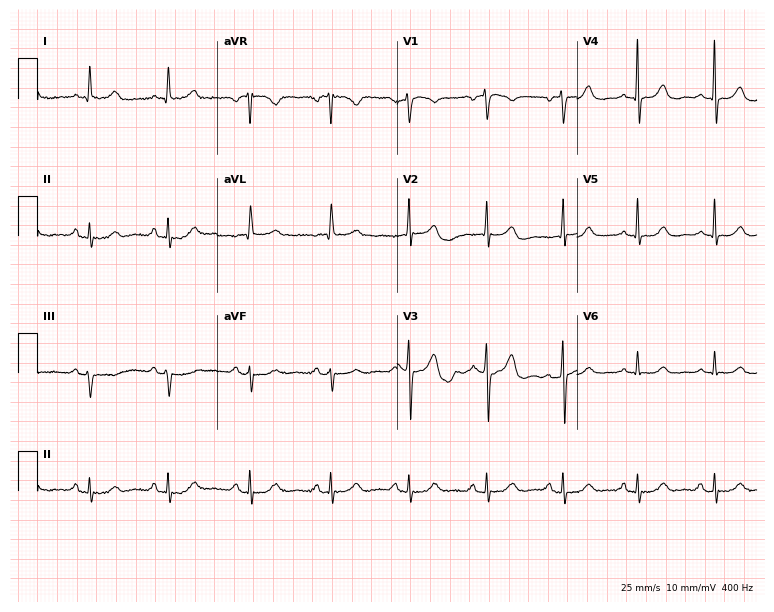
12-lead ECG (7.3-second recording at 400 Hz) from an 80-year-old man. Labelled as a normal ECG.